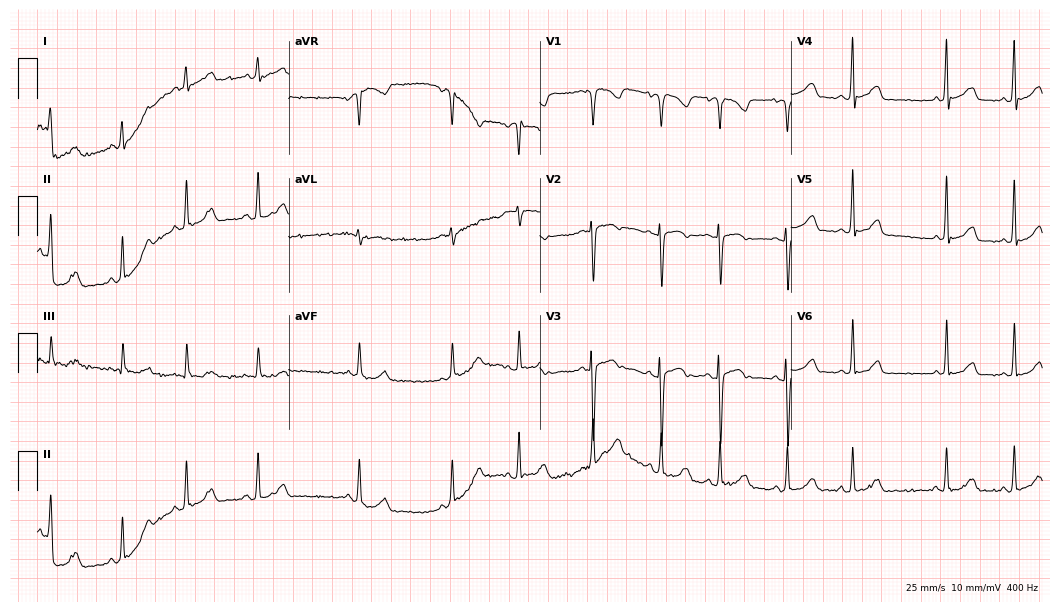
12-lead ECG from a male patient, 27 years old. Labelled as a normal ECG.